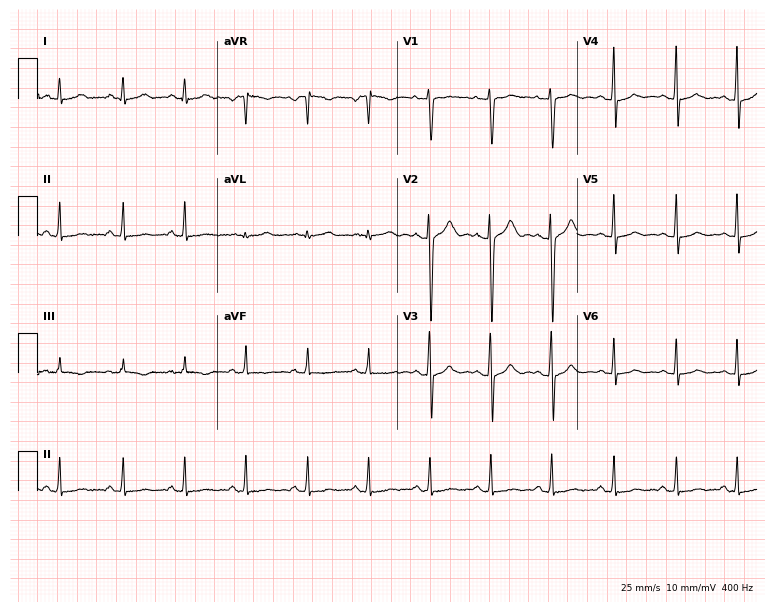
ECG — a 28-year-old woman. Screened for six findings — first-degree AV block, right bundle branch block, left bundle branch block, sinus bradycardia, atrial fibrillation, sinus tachycardia — none is recorded.